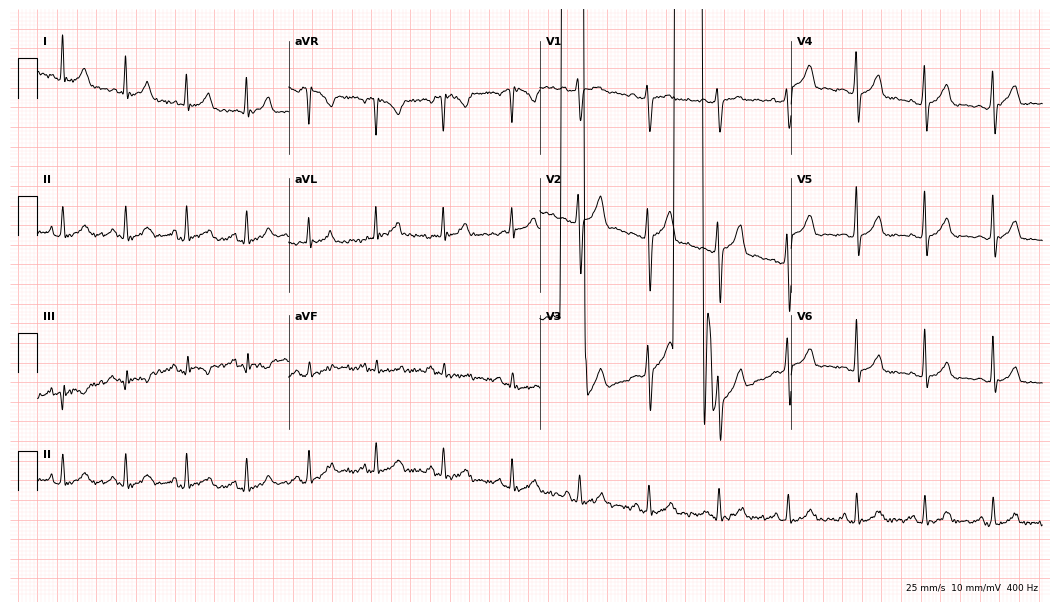
12-lead ECG from a woman, 31 years old. No first-degree AV block, right bundle branch block (RBBB), left bundle branch block (LBBB), sinus bradycardia, atrial fibrillation (AF) or sinus tachycardia recorded for this tracing.